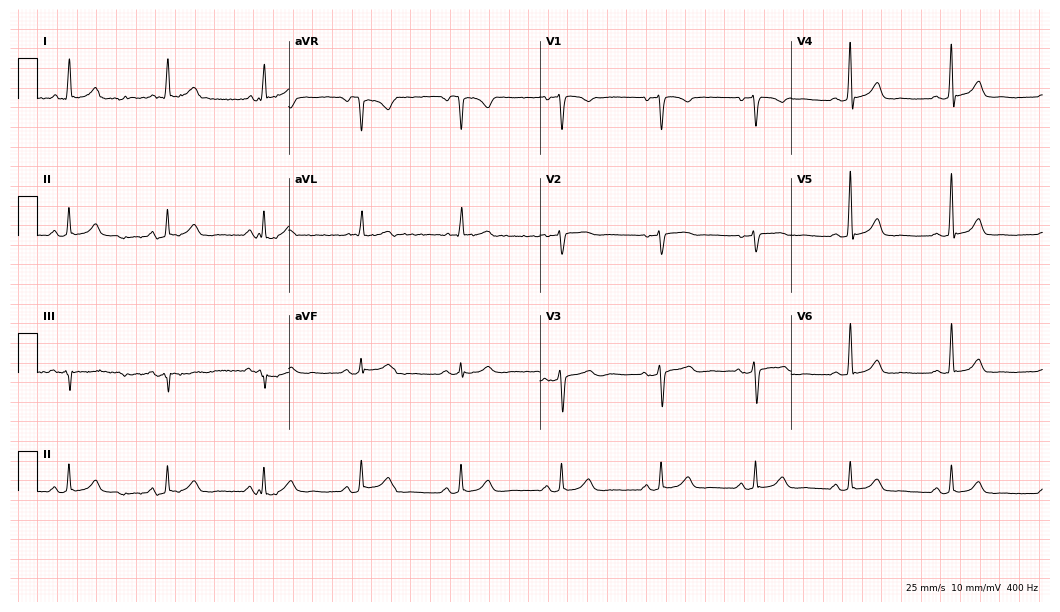
Resting 12-lead electrocardiogram. Patient: a woman, 43 years old. None of these six findings is recorded: first-degree AV block, right bundle branch block, left bundle branch block, sinus bradycardia, atrial fibrillation, sinus tachycardia.